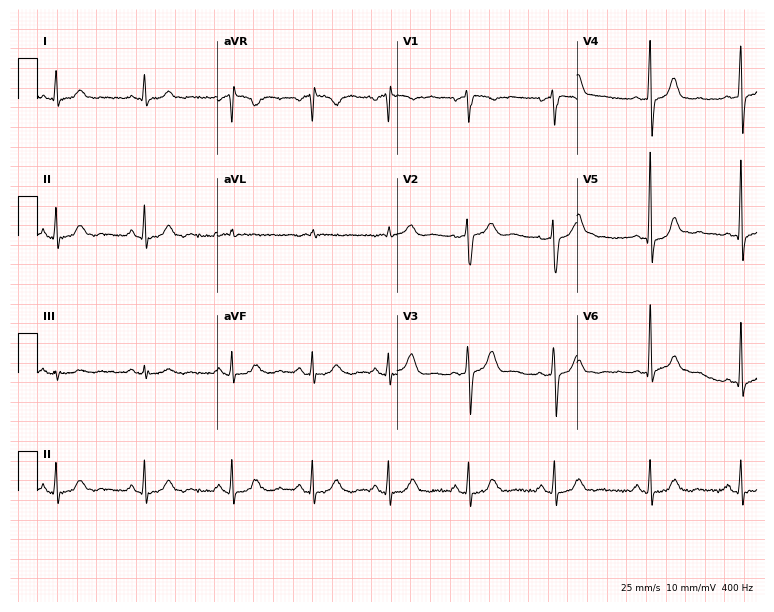
12-lead ECG (7.3-second recording at 400 Hz) from a 60-year-old male. Screened for six findings — first-degree AV block, right bundle branch block, left bundle branch block, sinus bradycardia, atrial fibrillation, sinus tachycardia — none is recorded.